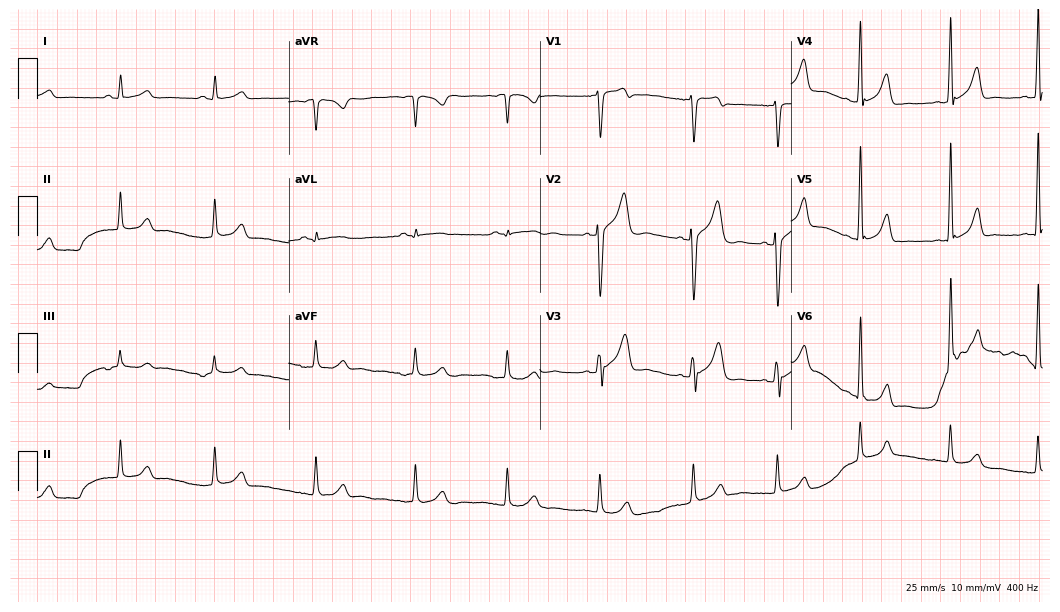
ECG (10.2-second recording at 400 Hz) — a 28-year-old man. Labelled as a normal ECG.